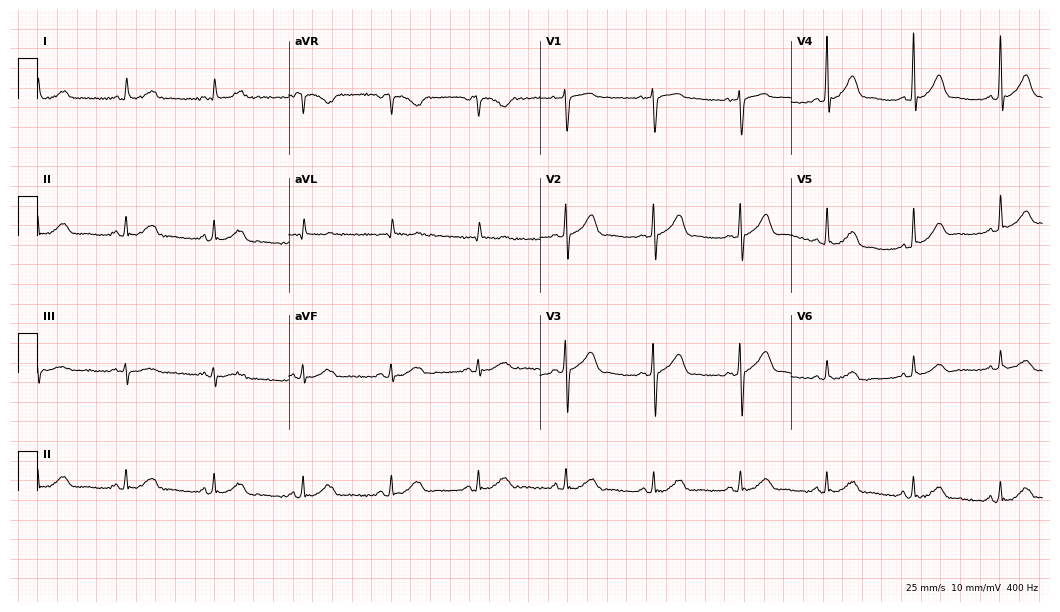
Standard 12-lead ECG recorded from a male patient, 74 years old. Read as a normal ECG.